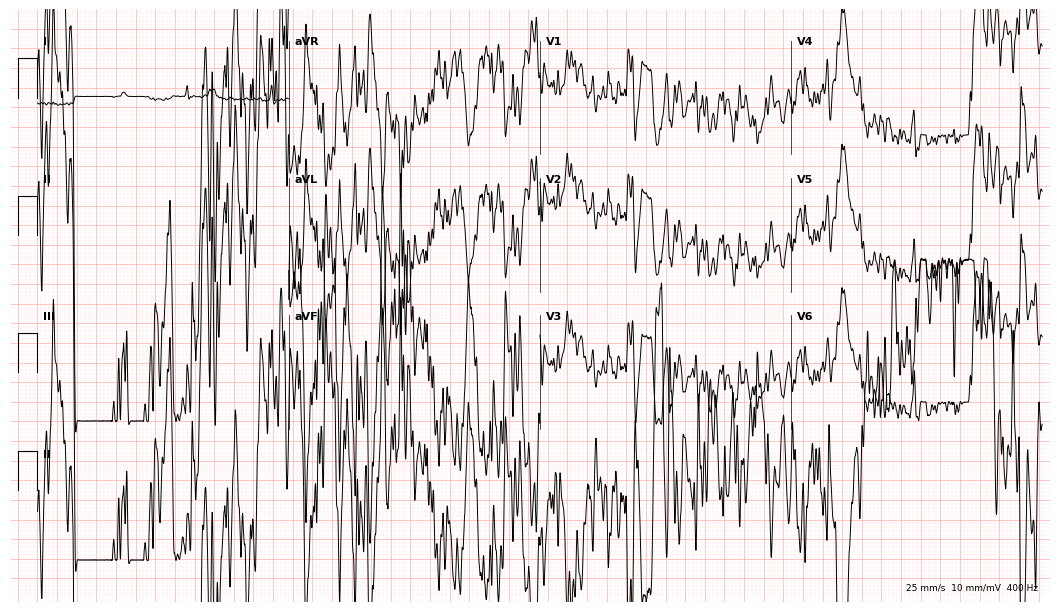
12-lead ECG (10.2-second recording at 400 Hz) from a 35-year-old female patient. Screened for six findings — first-degree AV block, right bundle branch block, left bundle branch block, sinus bradycardia, atrial fibrillation, sinus tachycardia — none is recorded.